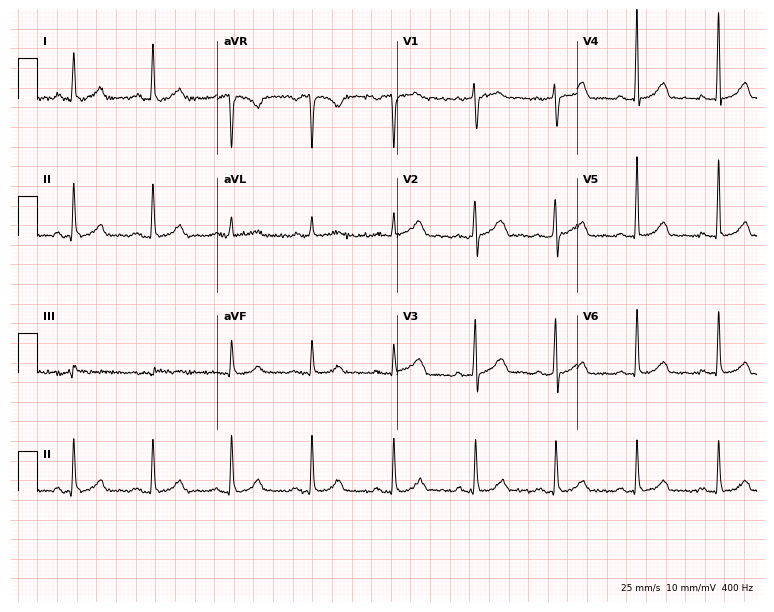
Resting 12-lead electrocardiogram (7.3-second recording at 400 Hz). Patient: a 59-year-old female. None of these six findings is recorded: first-degree AV block, right bundle branch block, left bundle branch block, sinus bradycardia, atrial fibrillation, sinus tachycardia.